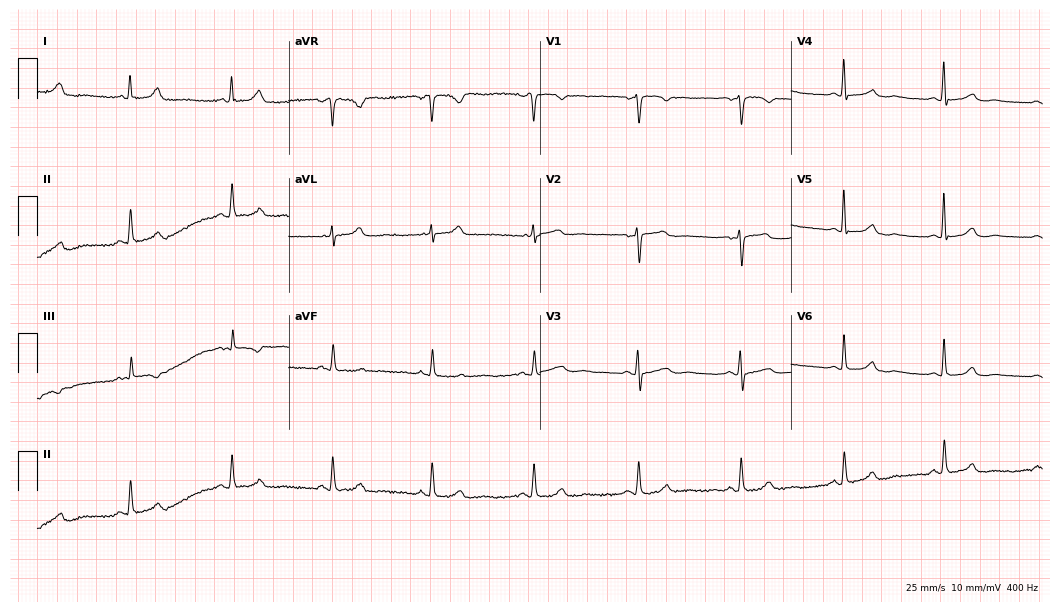
ECG — a 46-year-old female patient. Screened for six findings — first-degree AV block, right bundle branch block, left bundle branch block, sinus bradycardia, atrial fibrillation, sinus tachycardia — none is recorded.